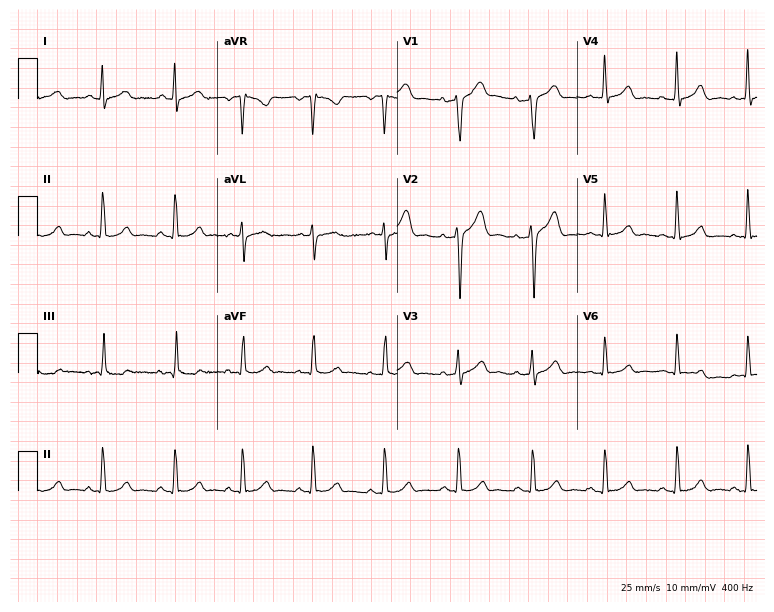
Resting 12-lead electrocardiogram (7.3-second recording at 400 Hz). Patient: a man, 41 years old. Read as a normal ECG.